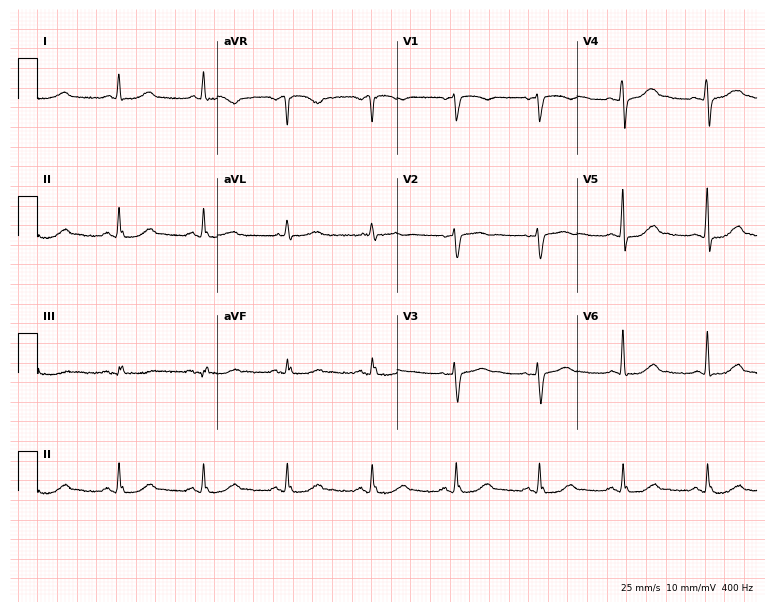
12-lead ECG (7.3-second recording at 400 Hz) from a woman, 62 years old. Screened for six findings — first-degree AV block, right bundle branch block (RBBB), left bundle branch block (LBBB), sinus bradycardia, atrial fibrillation (AF), sinus tachycardia — none is recorded.